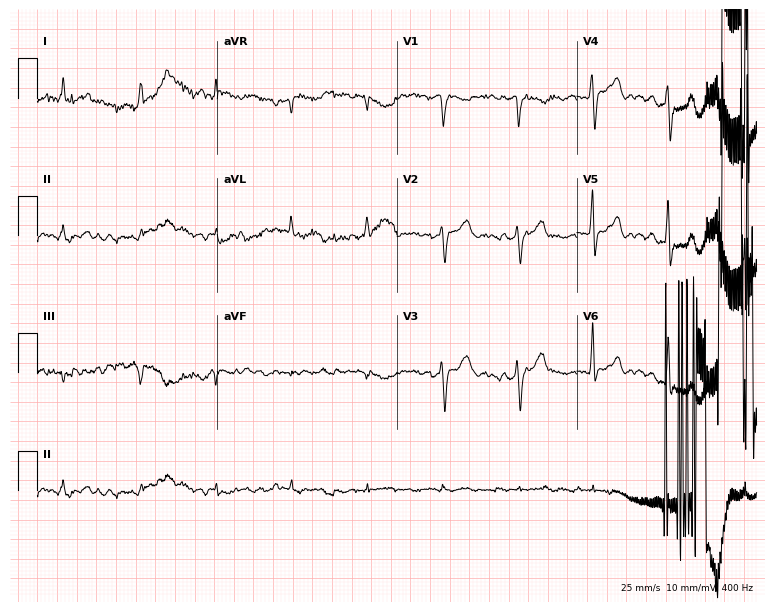
Resting 12-lead electrocardiogram. Patient: a male, 49 years old. None of these six findings is recorded: first-degree AV block, right bundle branch block, left bundle branch block, sinus bradycardia, atrial fibrillation, sinus tachycardia. Findings outside these six are not listed.